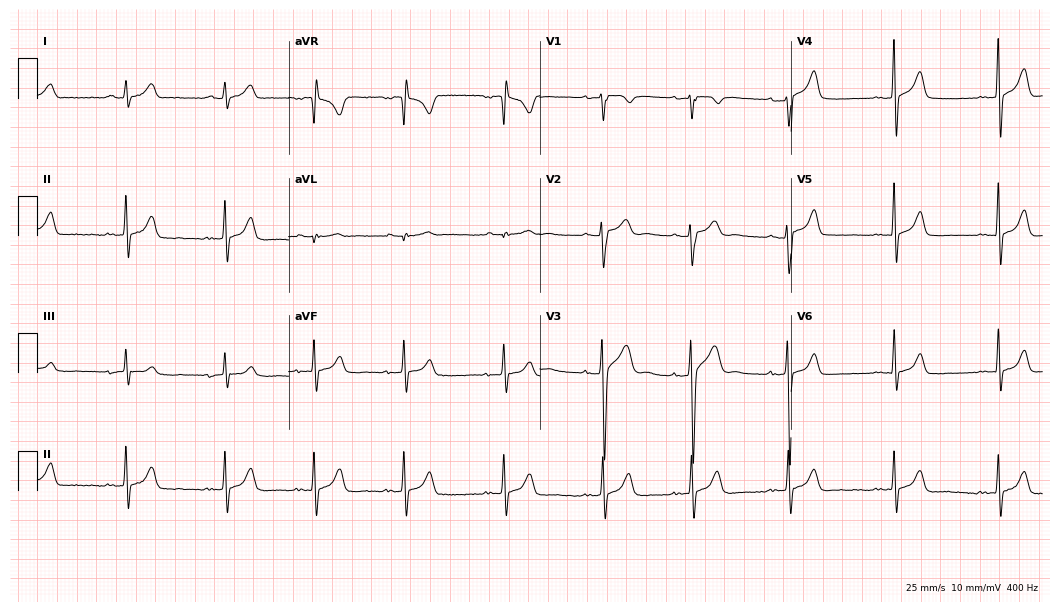
12-lead ECG from a male, 18 years old. Recorded interpretation: within normal limits.